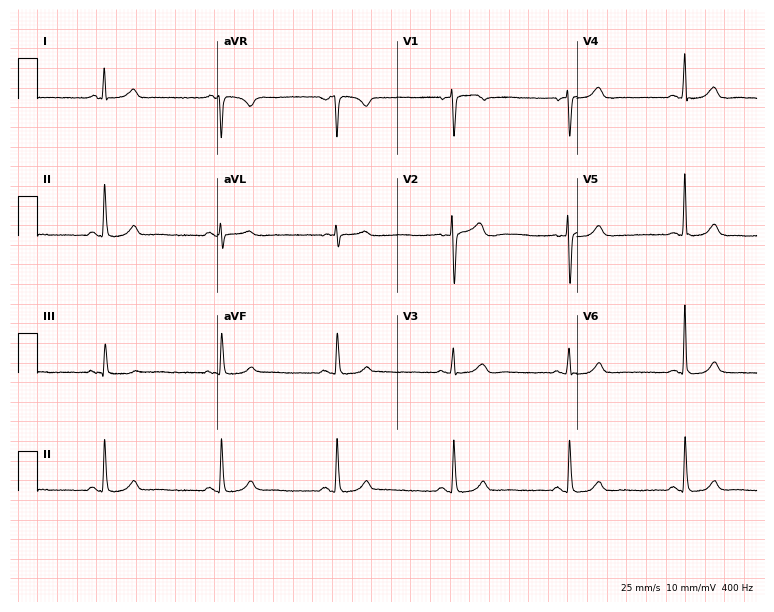
Standard 12-lead ECG recorded from a woman, 57 years old. Read as a normal ECG.